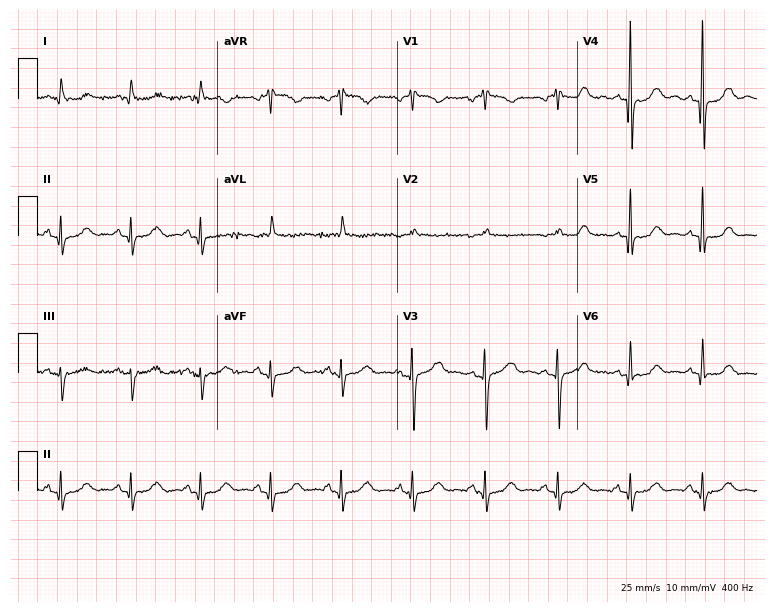
Resting 12-lead electrocardiogram. Patient: a female, 75 years old. Read as a normal ECG.